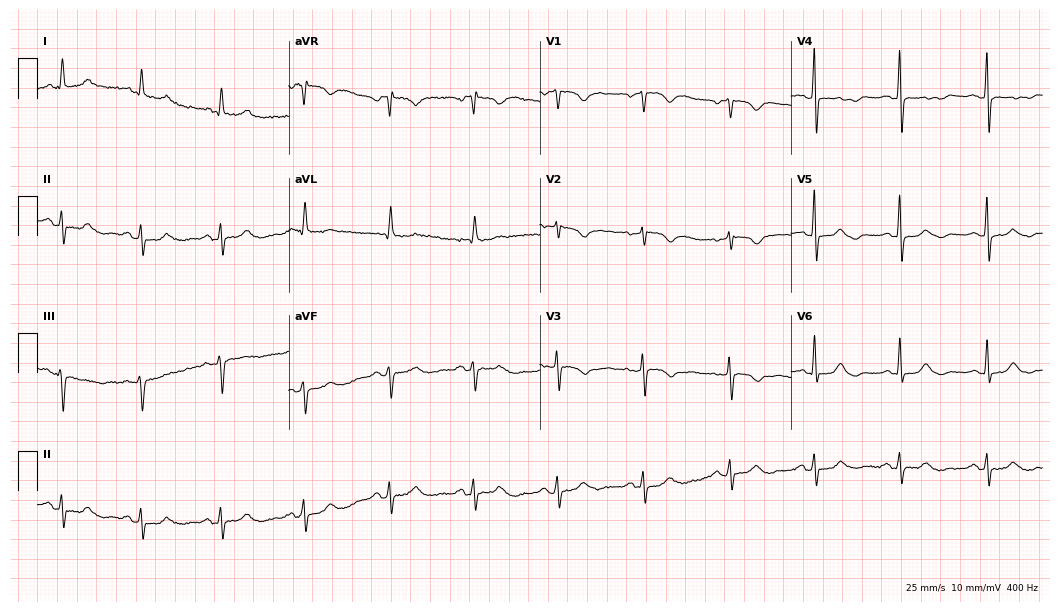
Standard 12-lead ECG recorded from a 68-year-old female. None of these six findings is recorded: first-degree AV block, right bundle branch block (RBBB), left bundle branch block (LBBB), sinus bradycardia, atrial fibrillation (AF), sinus tachycardia. Only these six findings were labelled.